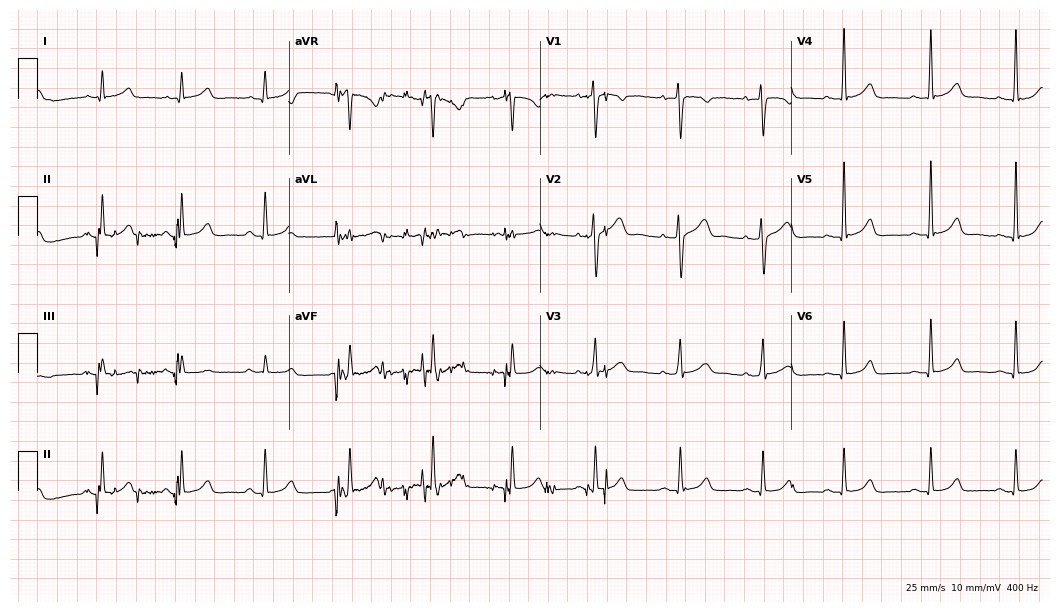
ECG — a woman, 32 years old. Labelled as a normal ECG.